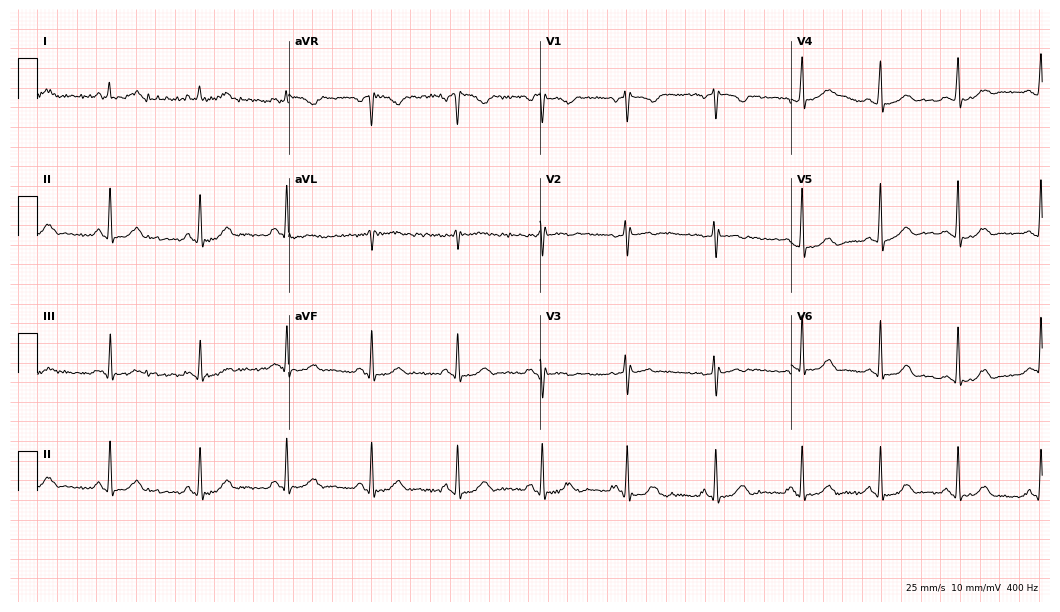
Resting 12-lead electrocardiogram (10.2-second recording at 400 Hz). Patient: a female, 33 years old. None of these six findings is recorded: first-degree AV block, right bundle branch block (RBBB), left bundle branch block (LBBB), sinus bradycardia, atrial fibrillation (AF), sinus tachycardia. Other findings, if any, are not listed.